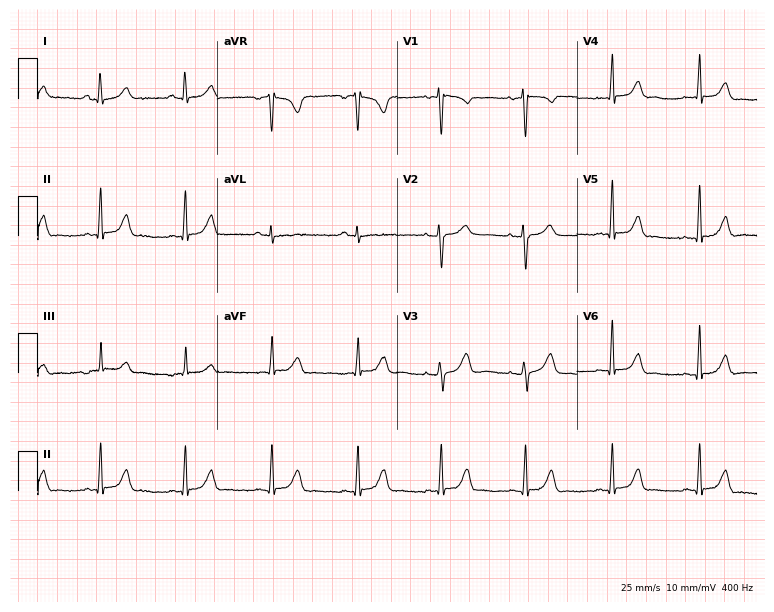
Standard 12-lead ECG recorded from a 31-year-old female patient. Read as a normal ECG.